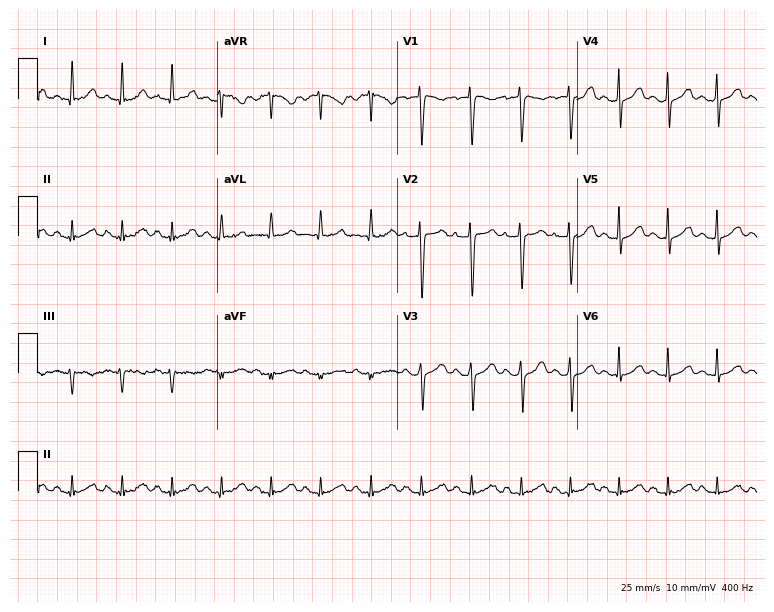
ECG (7.3-second recording at 400 Hz) — a 37-year-old female. Findings include sinus tachycardia (a sinus rate of 100 beats per minute or more).